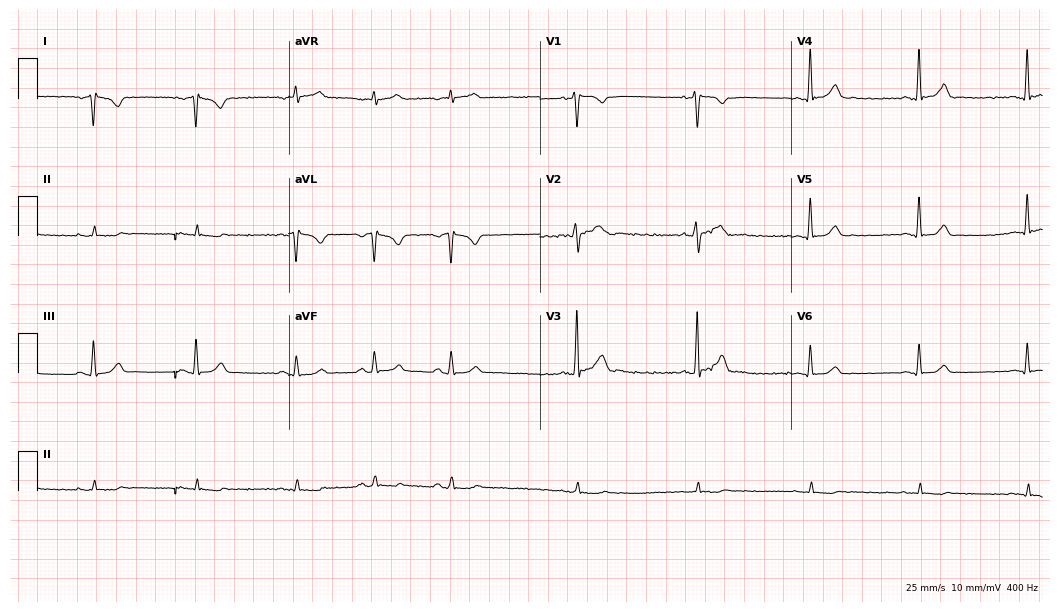
Standard 12-lead ECG recorded from a 31-year-old female (10.2-second recording at 400 Hz). None of these six findings is recorded: first-degree AV block, right bundle branch block, left bundle branch block, sinus bradycardia, atrial fibrillation, sinus tachycardia. Other findings, if any, are not listed.